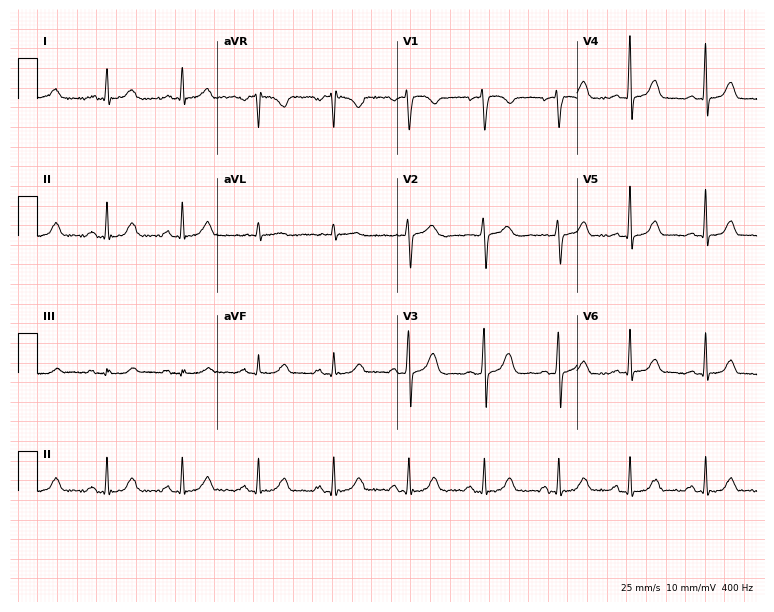
Electrocardiogram (7.3-second recording at 400 Hz), a female, 54 years old. Overall reading on record: normal ECG.